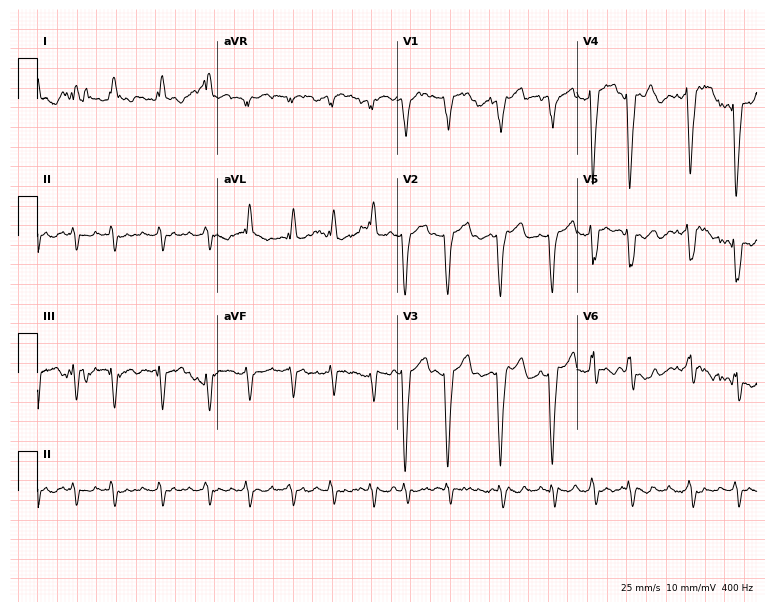
Standard 12-lead ECG recorded from a woman, 68 years old (7.3-second recording at 400 Hz). The tracing shows atrial fibrillation.